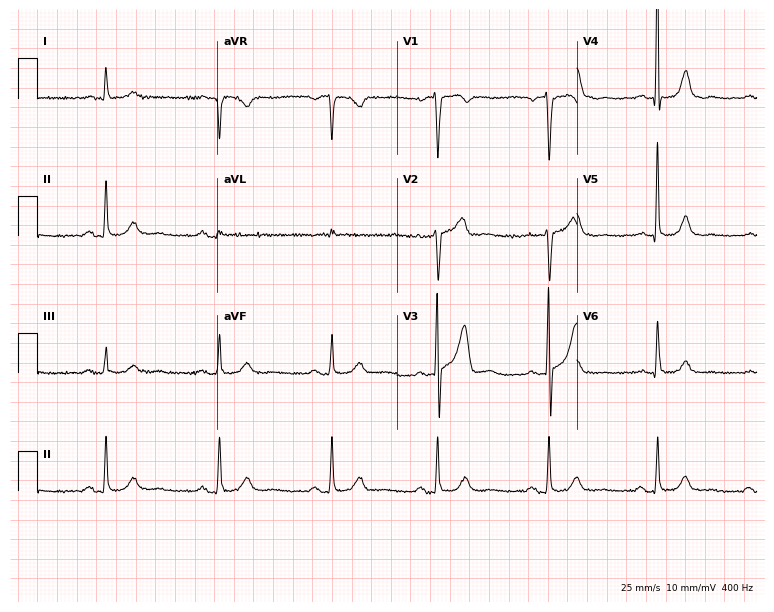
ECG (7.3-second recording at 400 Hz) — a 58-year-old male patient. Labelled as a normal ECG.